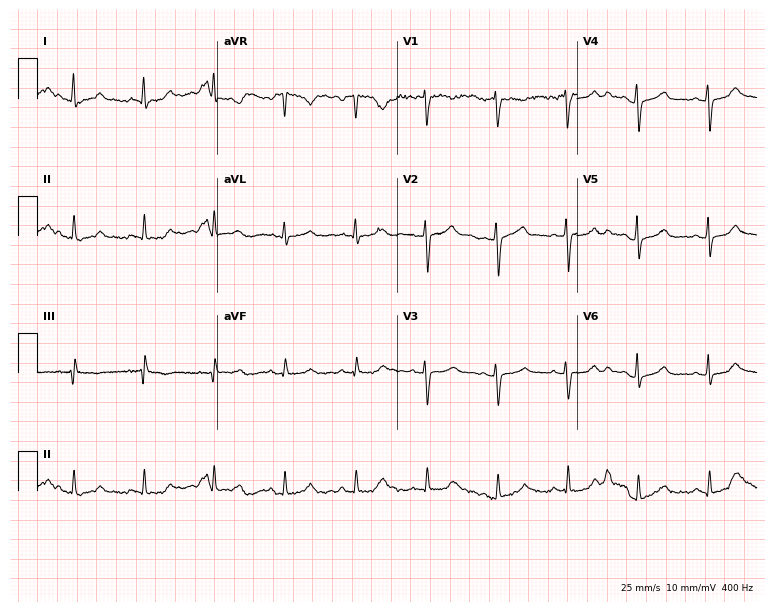
12-lead ECG from a female patient, 47 years old. Recorded interpretation: within normal limits.